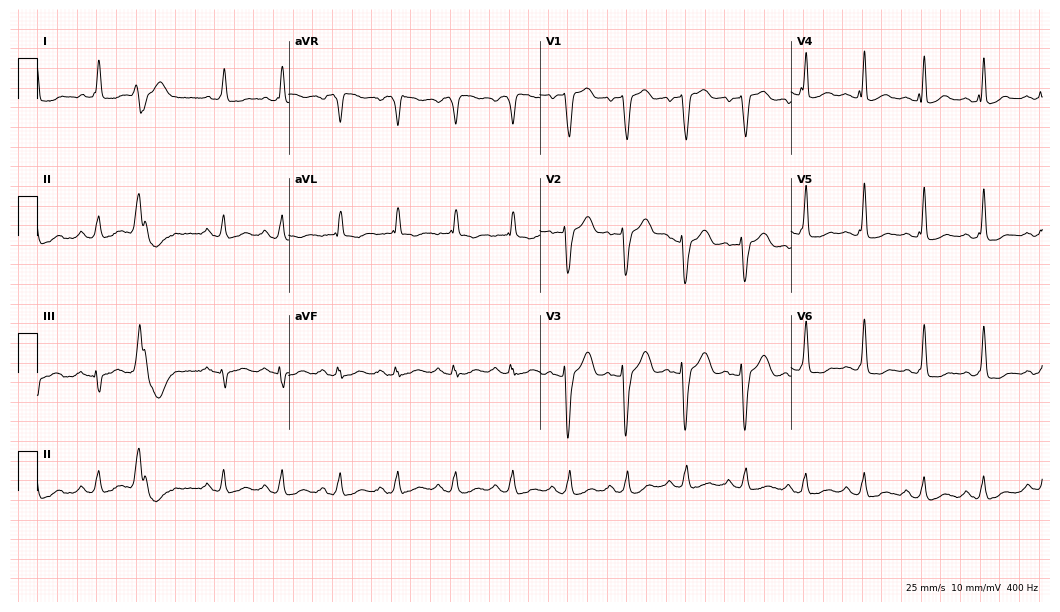
ECG — a male, 58 years old. Findings include left bundle branch block.